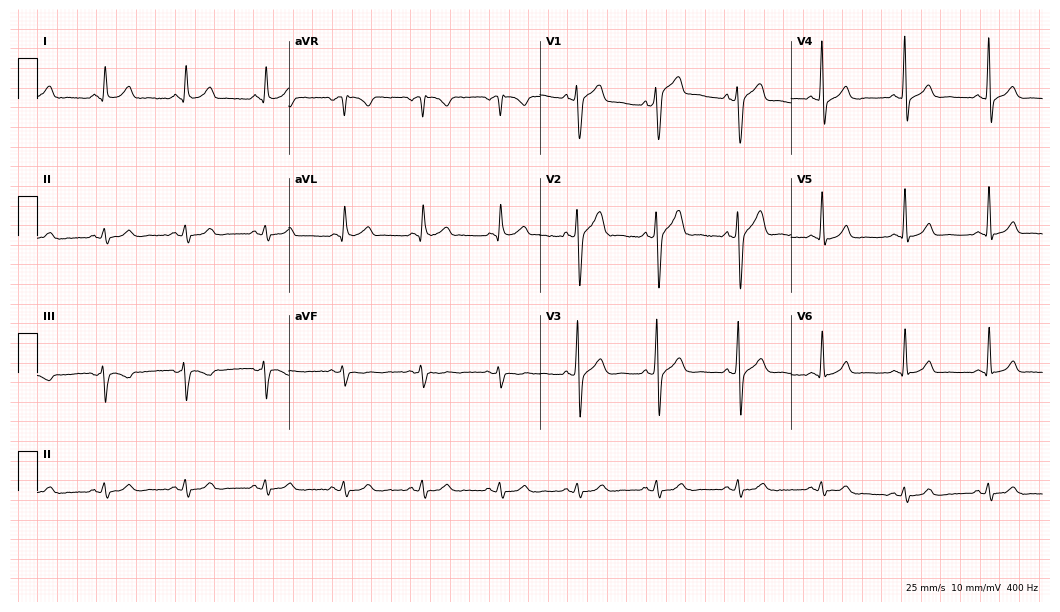
Electrocardiogram, a 46-year-old man. Of the six screened findings (first-degree AV block, right bundle branch block (RBBB), left bundle branch block (LBBB), sinus bradycardia, atrial fibrillation (AF), sinus tachycardia), none is recorded. Only these six findings were labelled.